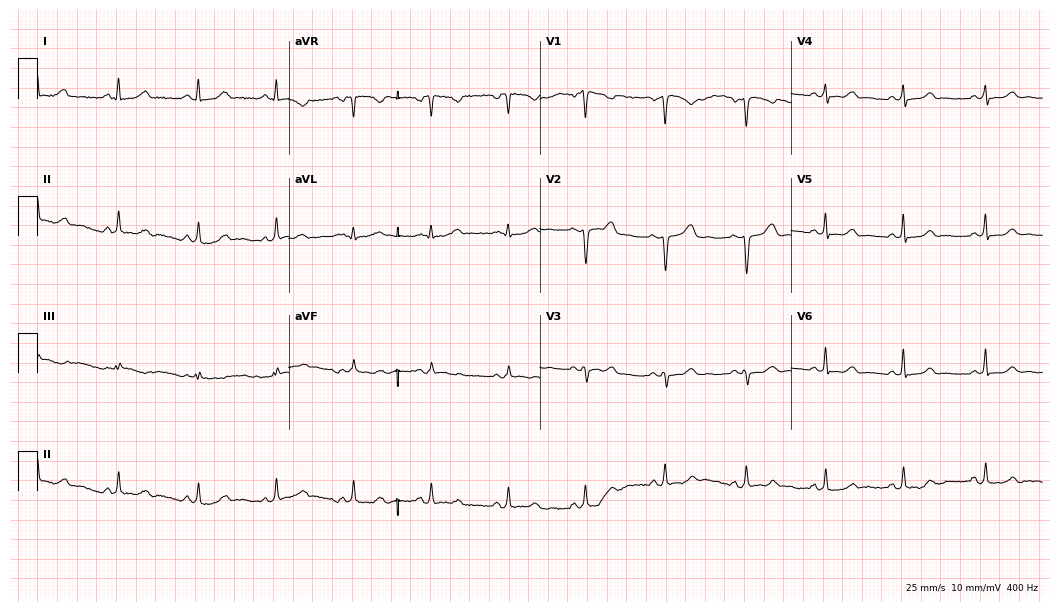
Electrocardiogram (10.2-second recording at 400 Hz), a 41-year-old female. Overall reading on record: normal ECG.